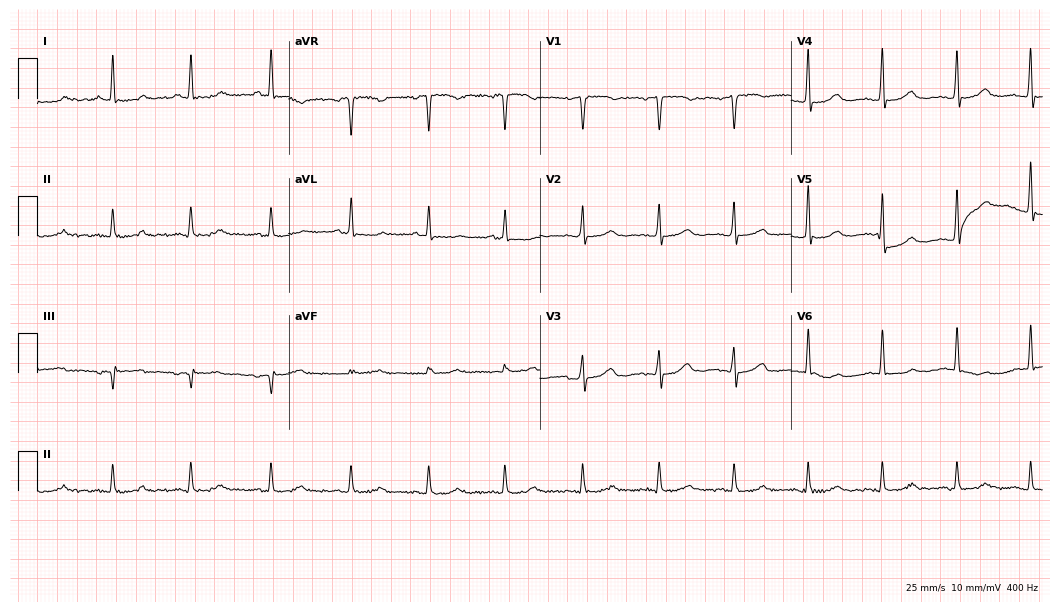
Standard 12-lead ECG recorded from a female, 44 years old. None of these six findings is recorded: first-degree AV block, right bundle branch block, left bundle branch block, sinus bradycardia, atrial fibrillation, sinus tachycardia.